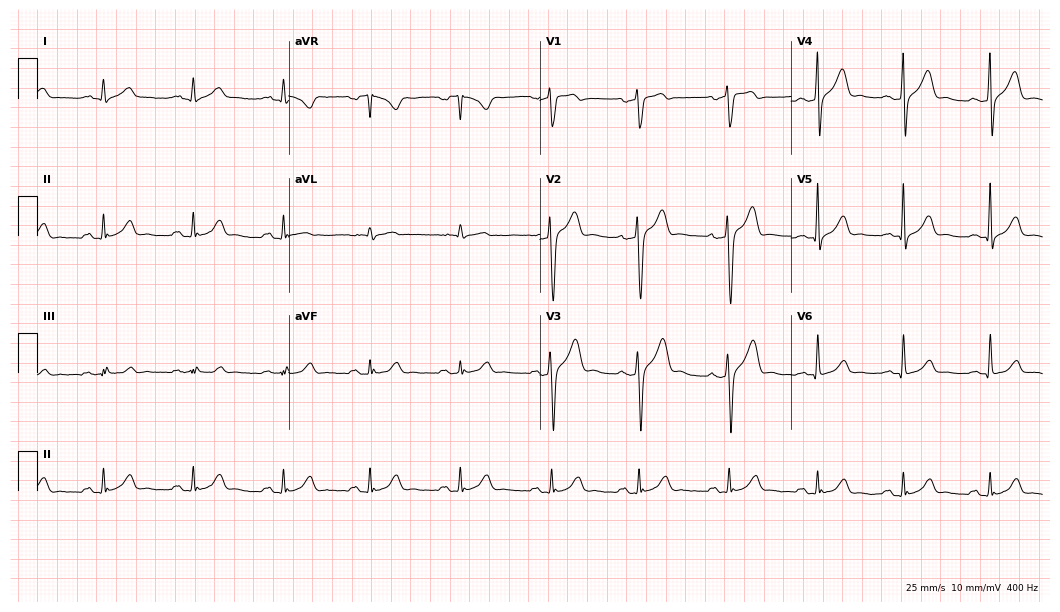
12-lead ECG from a female patient, 49 years old. Labelled as a normal ECG.